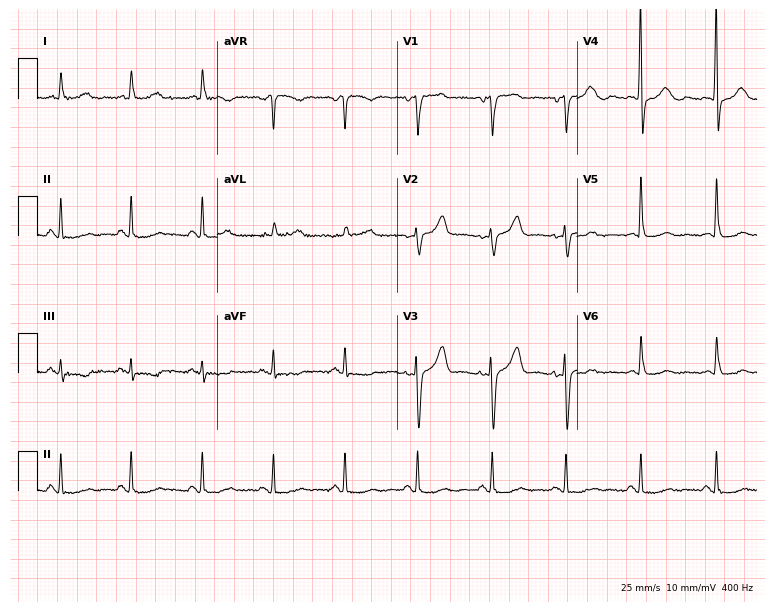
Electrocardiogram (7.3-second recording at 400 Hz), a female patient, 79 years old. Of the six screened findings (first-degree AV block, right bundle branch block, left bundle branch block, sinus bradycardia, atrial fibrillation, sinus tachycardia), none is recorded. Other findings, if any, are not listed.